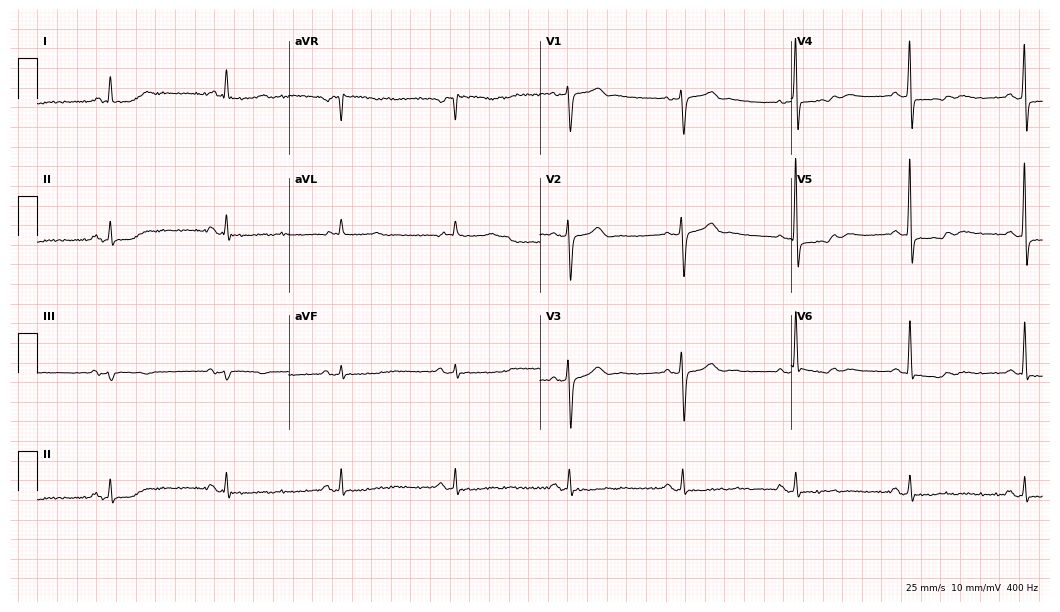
12-lead ECG from an 83-year-old male patient. Labelled as a normal ECG.